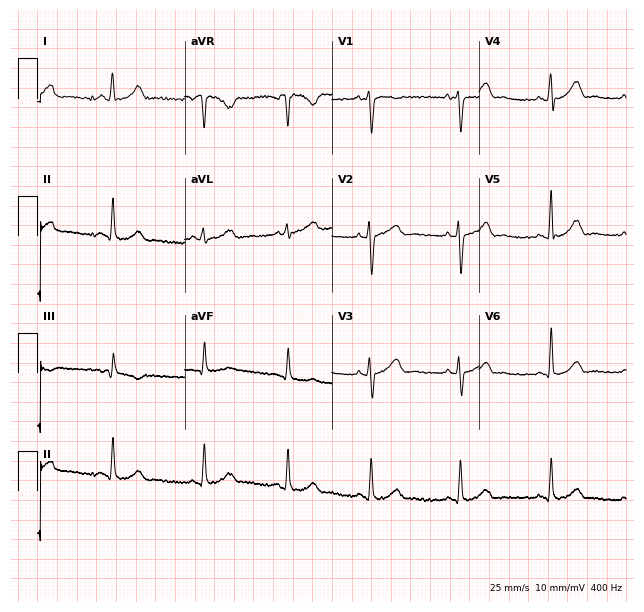
12-lead ECG from a 28-year-old woman (6-second recording at 400 Hz). Recorded interpretation: within normal limits.